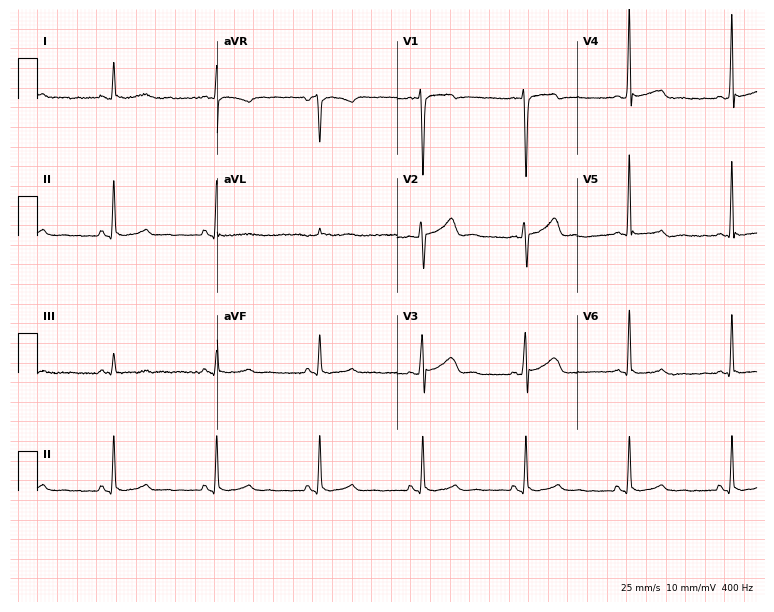
Standard 12-lead ECG recorded from a male, 53 years old (7.3-second recording at 400 Hz). Read as a normal ECG.